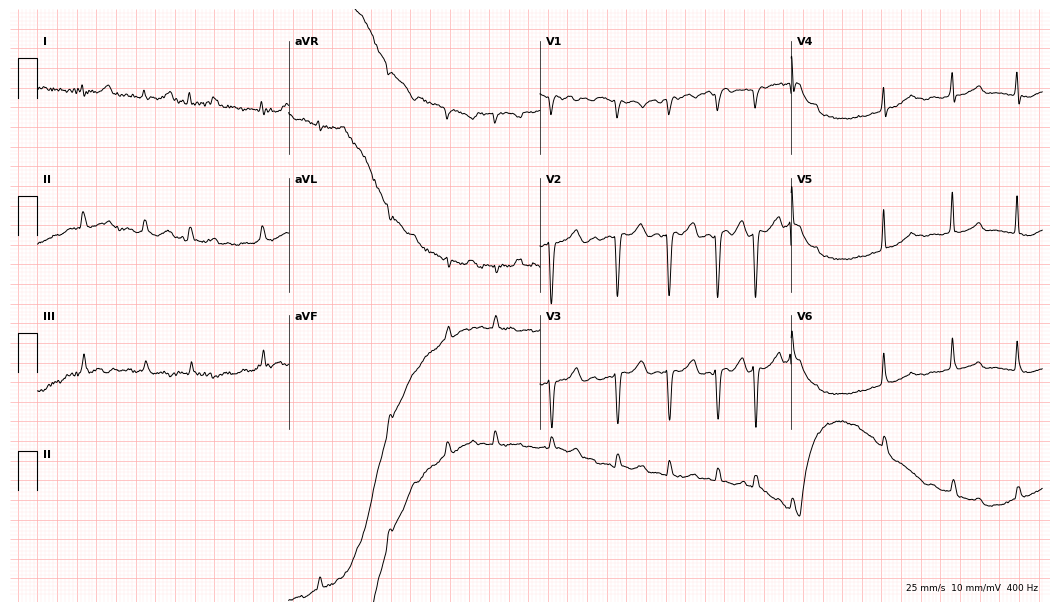
Standard 12-lead ECG recorded from a female patient, 84 years old. The tracing shows atrial fibrillation (AF).